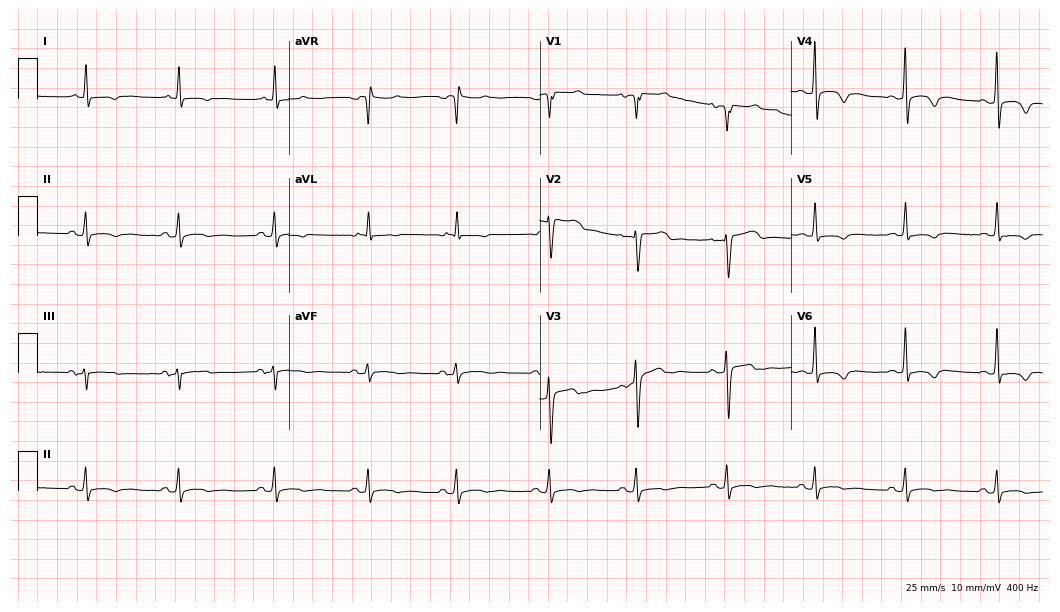
Electrocardiogram (10.2-second recording at 400 Hz), a 39-year-old man. Of the six screened findings (first-degree AV block, right bundle branch block, left bundle branch block, sinus bradycardia, atrial fibrillation, sinus tachycardia), none is recorded. Other findings, if any, are not listed.